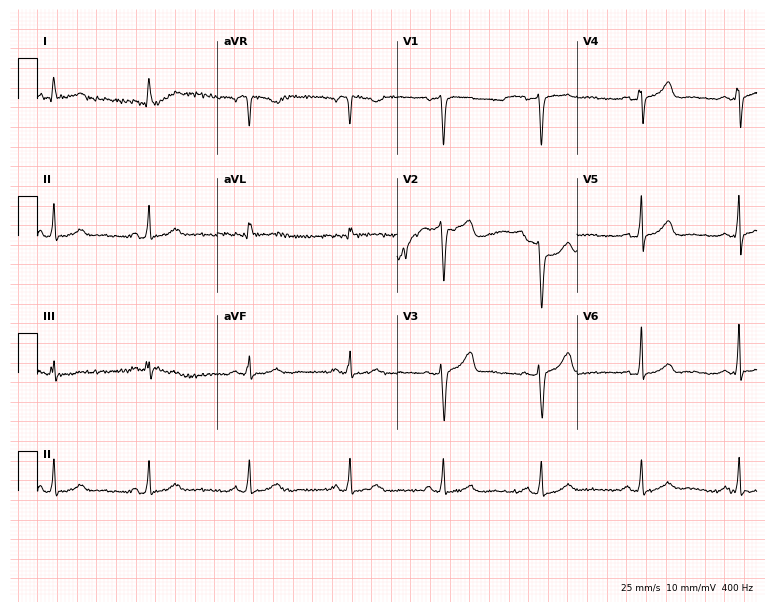
Standard 12-lead ECG recorded from a 44-year-old woman. Read as a normal ECG.